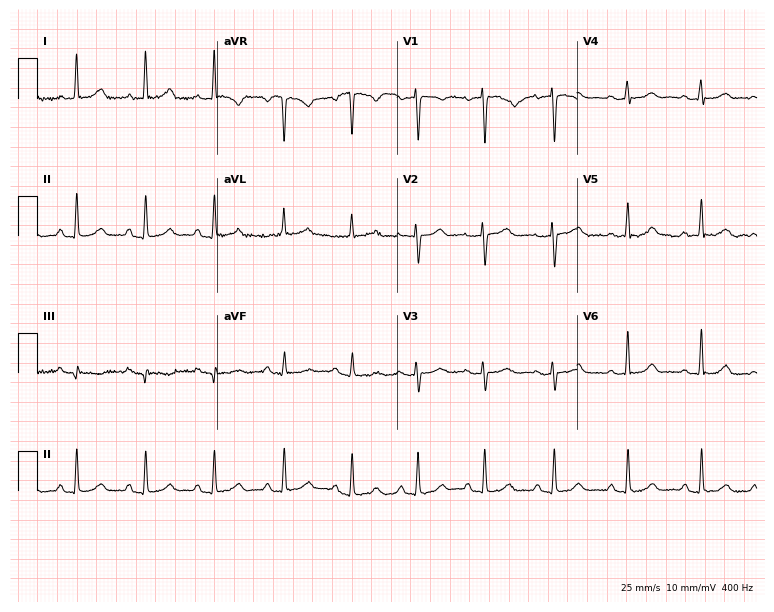
12-lead ECG from a 44-year-old woman. Labelled as a normal ECG.